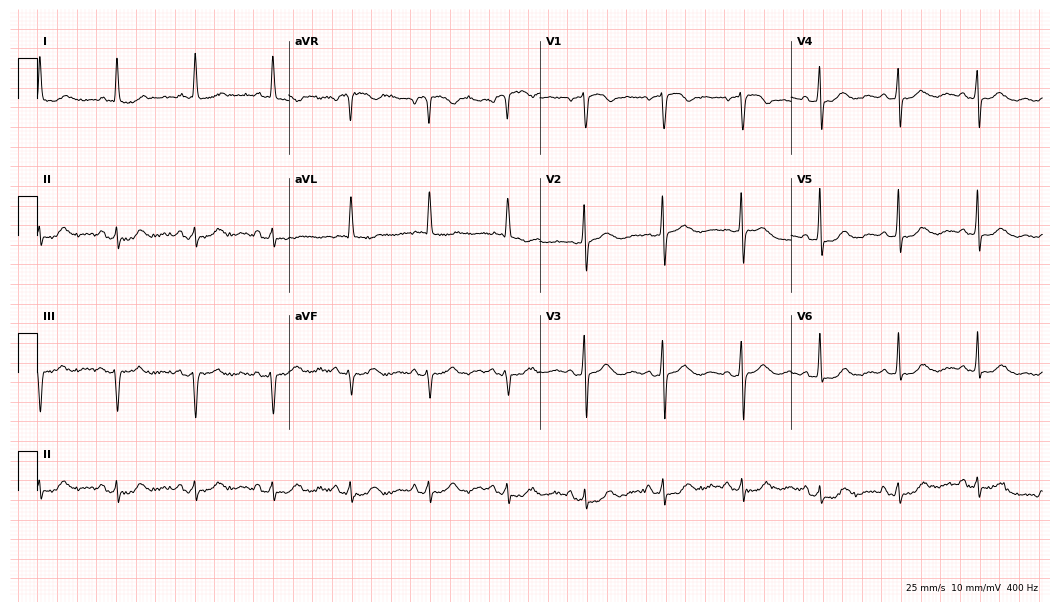
Resting 12-lead electrocardiogram (10.2-second recording at 400 Hz). Patient: a female, 85 years old. None of these six findings is recorded: first-degree AV block, right bundle branch block, left bundle branch block, sinus bradycardia, atrial fibrillation, sinus tachycardia. Only these six findings were labelled.